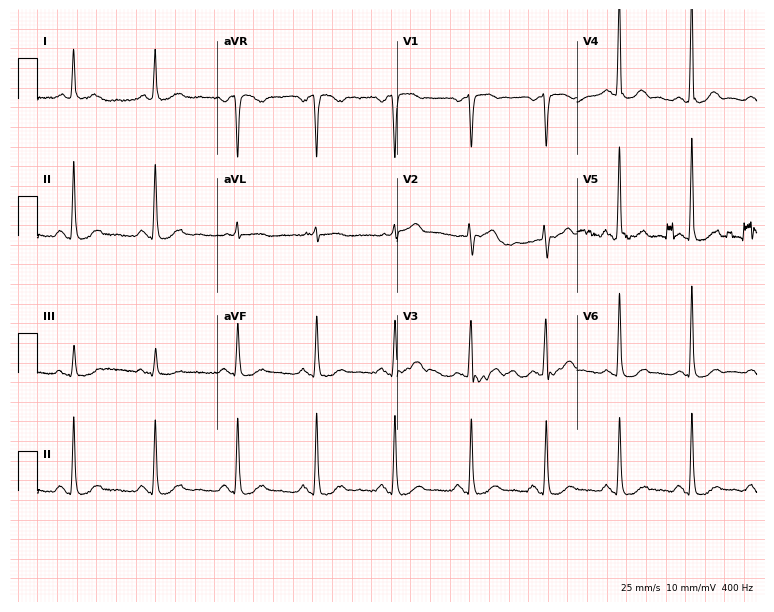
ECG (7.3-second recording at 400 Hz) — a woman, 62 years old. Screened for six findings — first-degree AV block, right bundle branch block, left bundle branch block, sinus bradycardia, atrial fibrillation, sinus tachycardia — none is recorded.